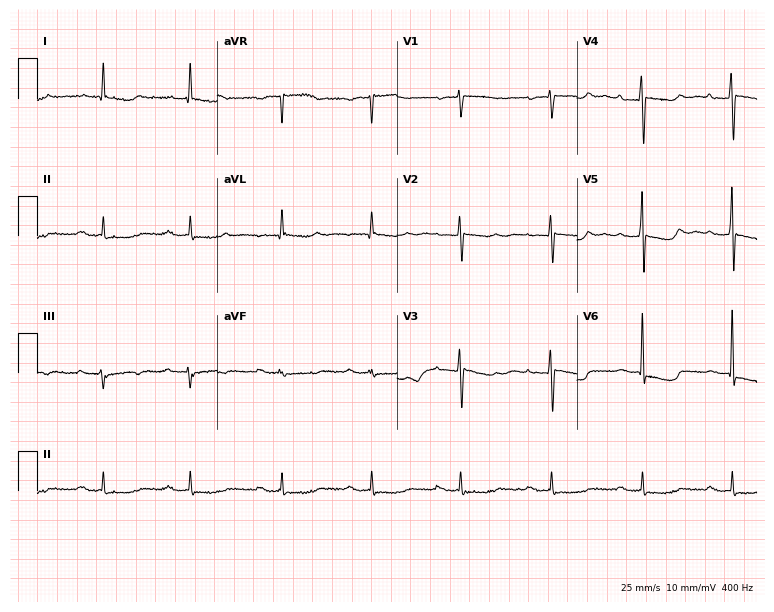
ECG — an 83-year-old female. Screened for six findings — first-degree AV block, right bundle branch block (RBBB), left bundle branch block (LBBB), sinus bradycardia, atrial fibrillation (AF), sinus tachycardia — none is recorded. Other findings, if any, are not listed.